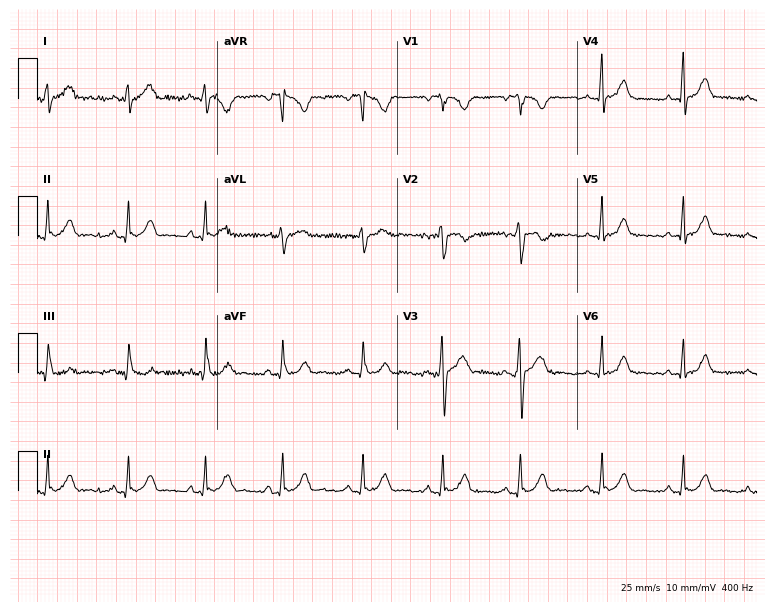
Electrocardiogram, a female, 33 years old. Overall reading on record: normal ECG.